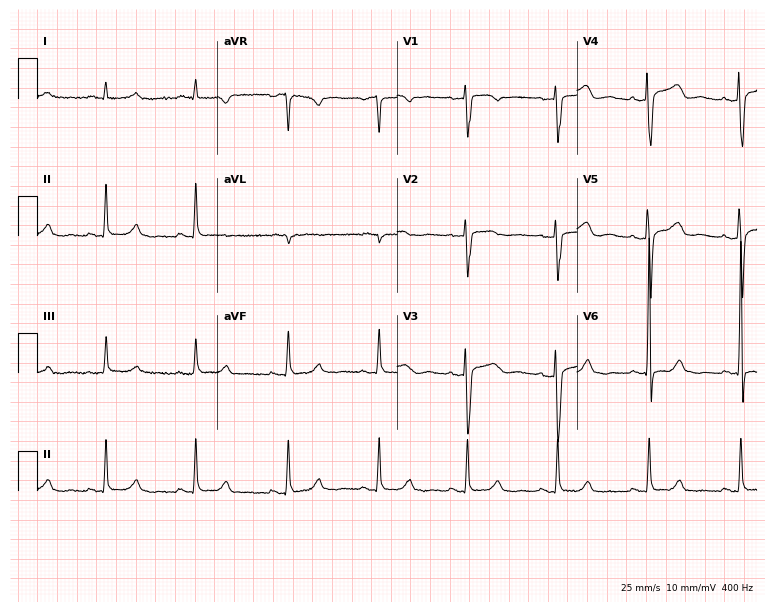
12-lead ECG (7.3-second recording at 400 Hz) from a 47-year-old female. Labelled as a normal ECG.